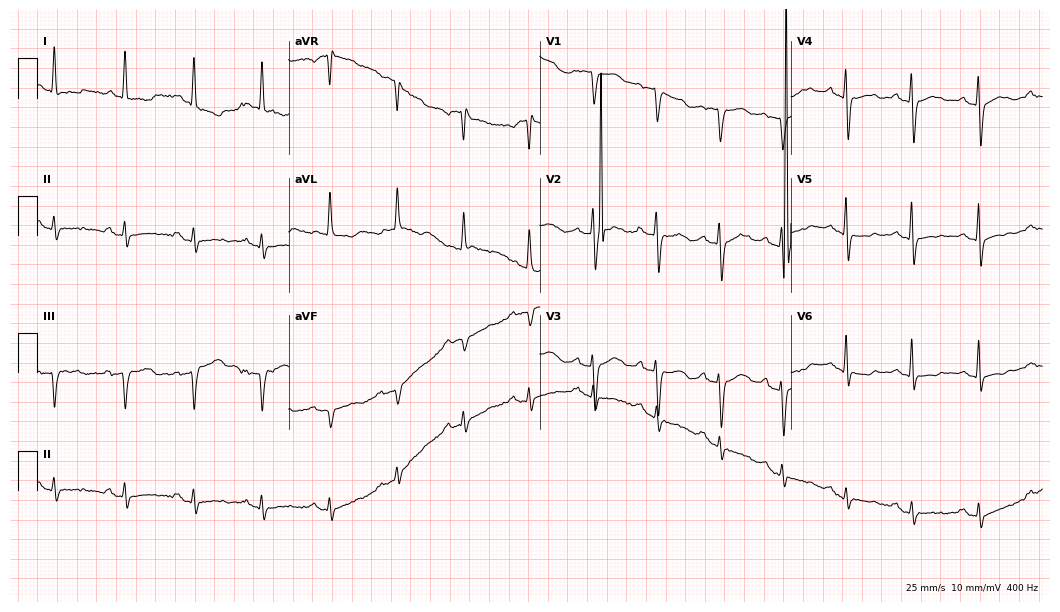
Standard 12-lead ECG recorded from an 85-year-old female. None of these six findings is recorded: first-degree AV block, right bundle branch block (RBBB), left bundle branch block (LBBB), sinus bradycardia, atrial fibrillation (AF), sinus tachycardia. Findings outside these six are not listed.